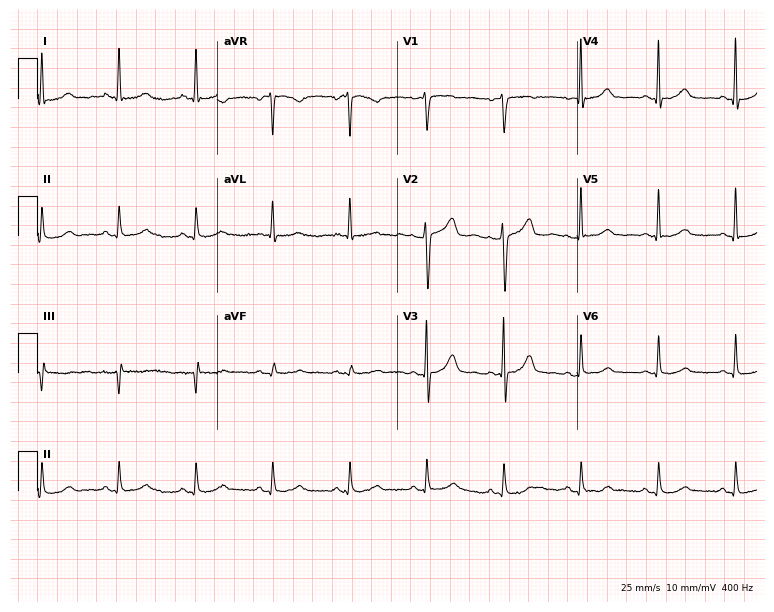
Resting 12-lead electrocardiogram. Patient: a female, 51 years old. None of these six findings is recorded: first-degree AV block, right bundle branch block, left bundle branch block, sinus bradycardia, atrial fibrillation, sinus tachycardia. Findings outside these six are not listed.